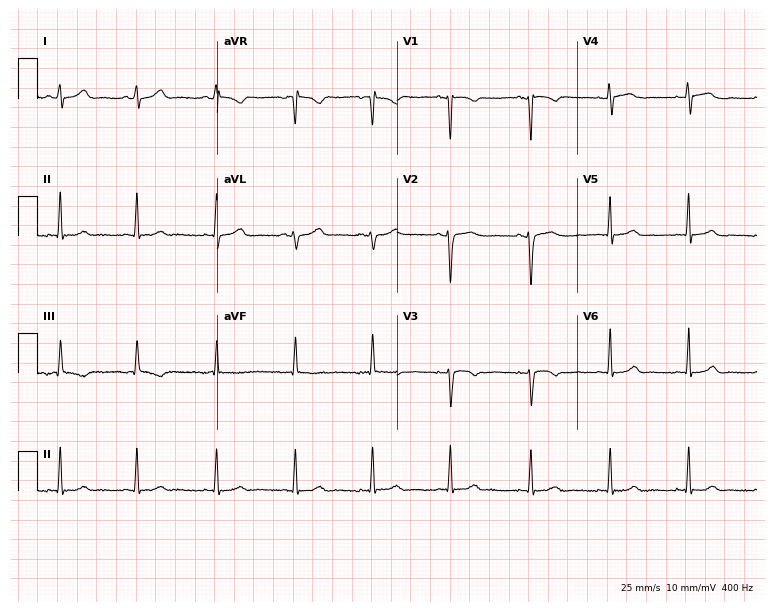
Resting 12-lead electrocardiogram. Patient: a female, 19 years old. Read as a normal ECG.